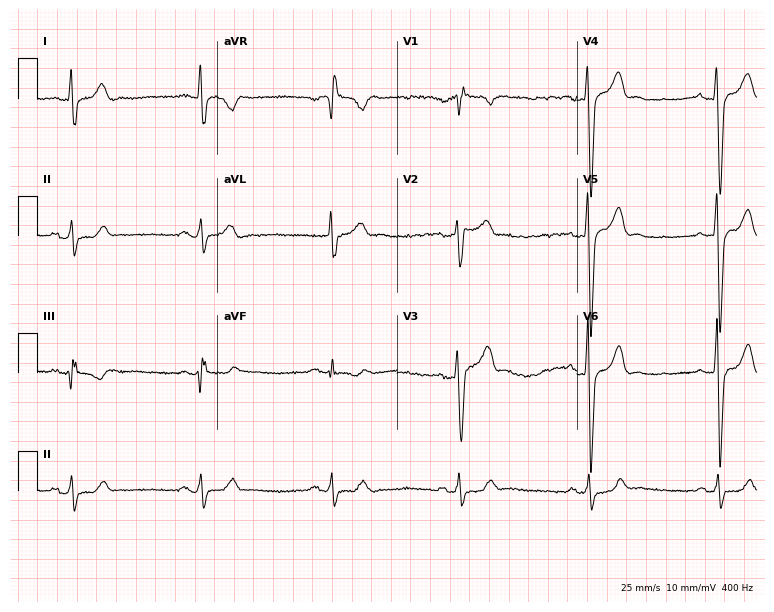
Resting 12-lead electrocardiogram (7.3-second recording at 400 Hz). Patient: a 61-year-old male. The tracing shows right bundle branch block, sinus bradycardia (a sinus rate of 50 beats per minute or less).